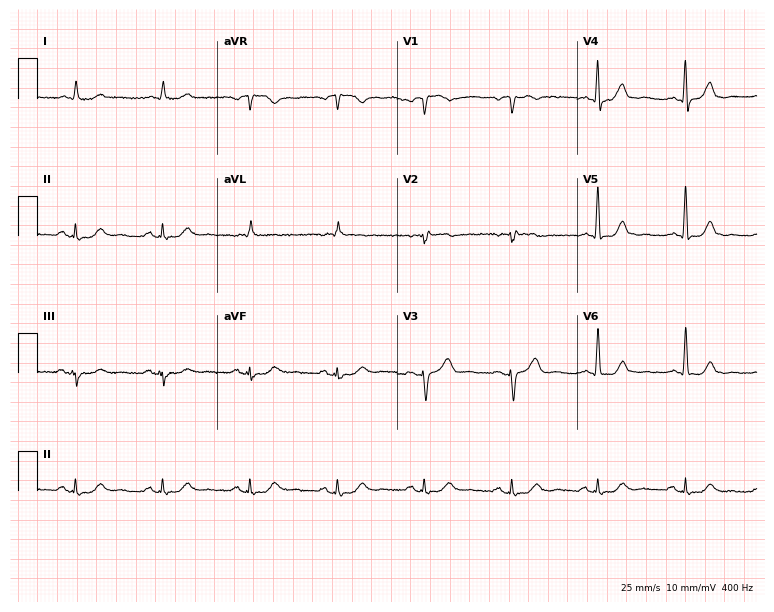
Electrocardiogram (7.3-second recording at 400 Hz), a male patient, 66 years old. Of the six screened findings (first-degree AV block, right bundle branch block, left bundle branch block, sinus bradycardia, atrial fibrillation, sinus tachycardia), none is recorded.